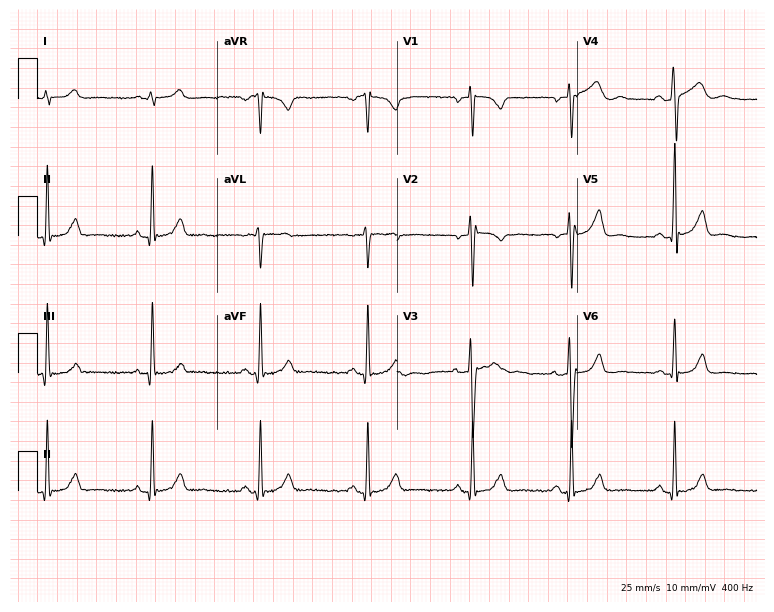
12-lead ECG from a 31-year-old man (7.3-second recording at 400 Hz). No first-degree AV block, right bundle branch block (RBBB), left bundle branch block (LBBB), sinus bradycardia, atrial fibrillation (AF) or sinus tachycardia recorded for this tracing. Other findings, if any, are not listed.